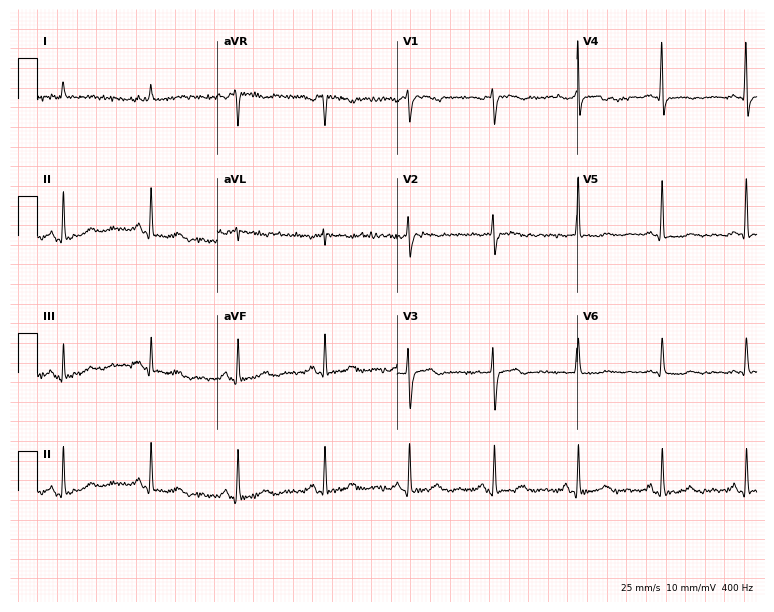
Electrocardiogram (7.3-second recording at 400 Hz), a 57-year-old female patient. Of the six screened findings (first-degree AV block, right bundle branch block, left bundle branch block, sinus bradycardia, atrial fibrillation, sinus tachycardia), none is recorded. Findings outside these six are not listed.